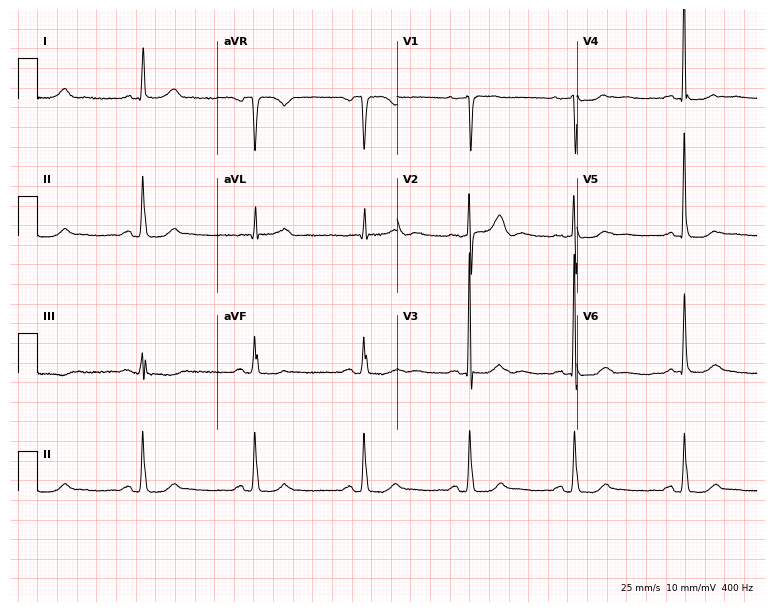
Resting 12-lead electrocardiogram (7.3-second recording at 400 Hz). Patient: a 73-year-old female. None of these six findings is recorded: first-degree AV block, right bundle branch block, left bundle branch block, sinus bradycardia, atrial fibrillation, sinus tachycardia. Only these six findings were labelled.